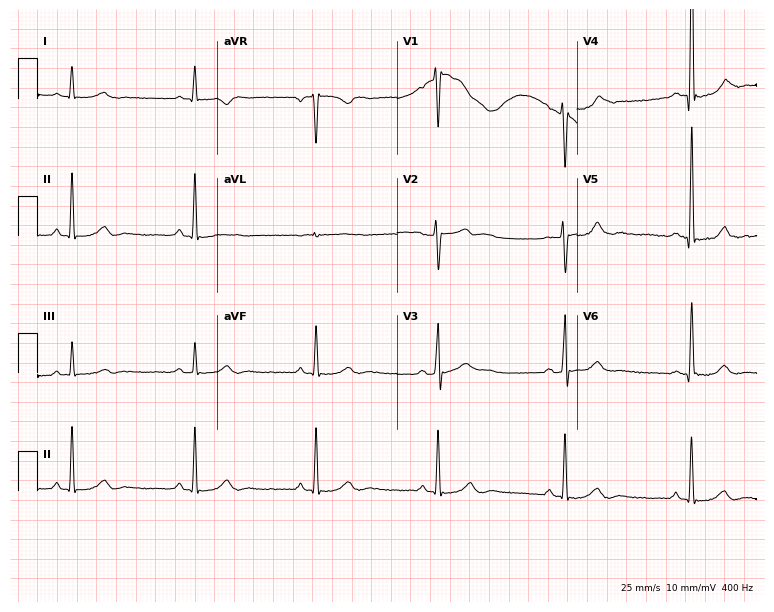
ECG — a male patient, 46 years old. Findings include sinus bradycardia (a sinus rate of 50 beats per minute or less).